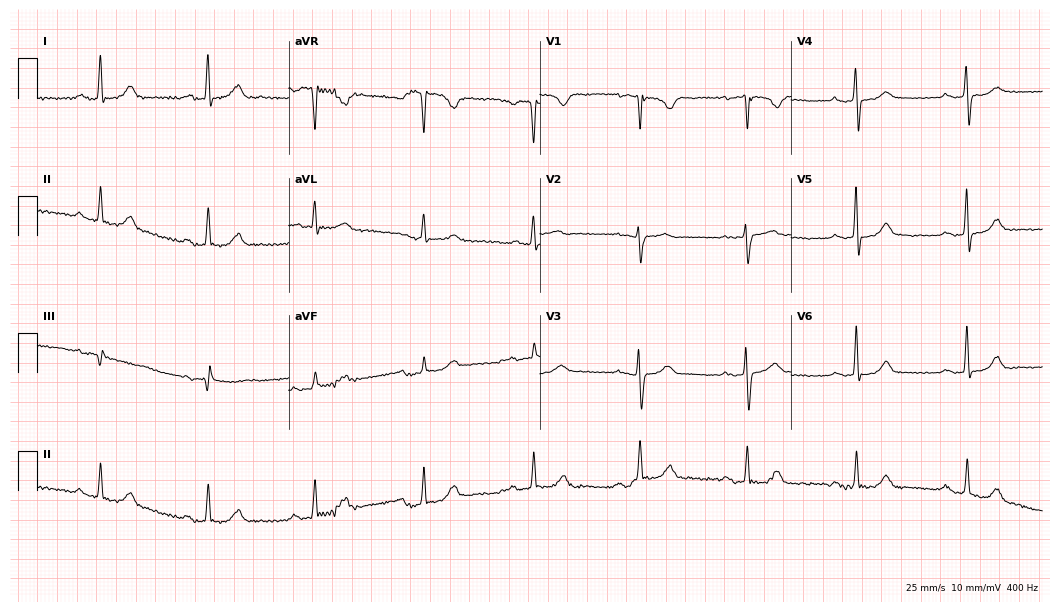
Electrocardiogram (10.2-second recording at 400 Hz), a female patient, 65 years old. Overall reading on record: normal ECG.